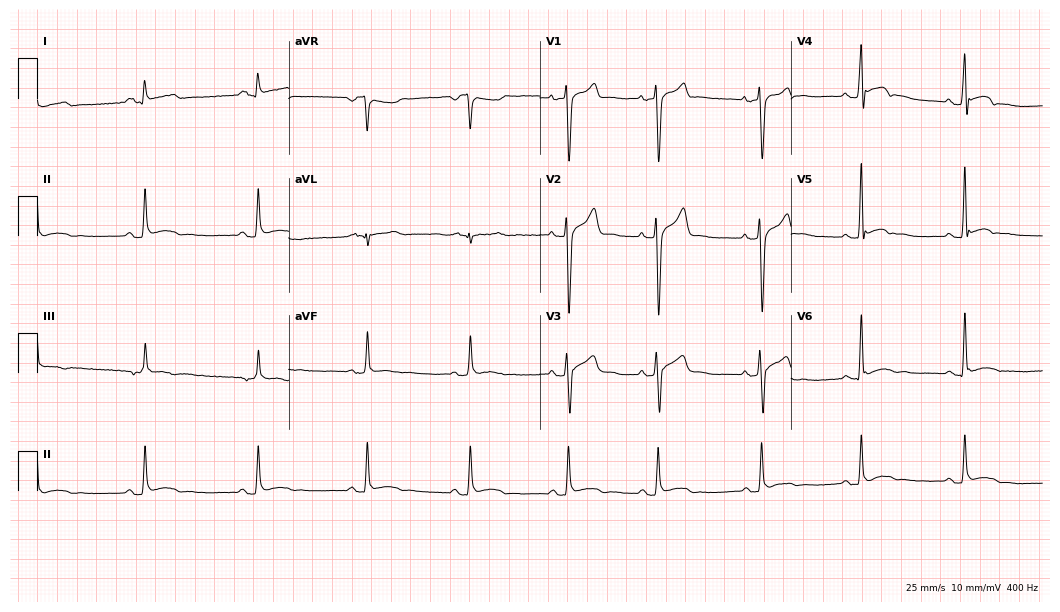
12-lead ECG from a 29-year-old man (10.2-second recording at 400 Hz). No first-degree AV block, right bundle branch block, left bundle branch block, sinus bradycardia, atrial fibrillation or sinus tachycardia recorded for this tracing.